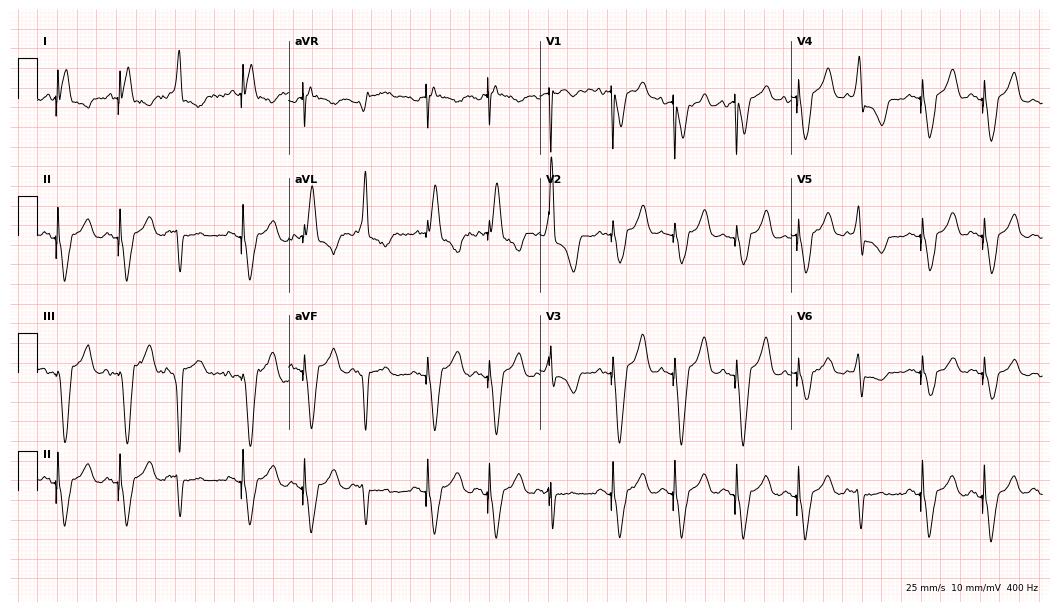
12-lead ECG from an 81-year-old male. Screened for six findings — first-degree AV block, right bundle branch block (RBBB), left bundle branch block (LBBB), sinus bradycardia, atrial fibrillation (AF), sinus tachycardia — none is recorded.